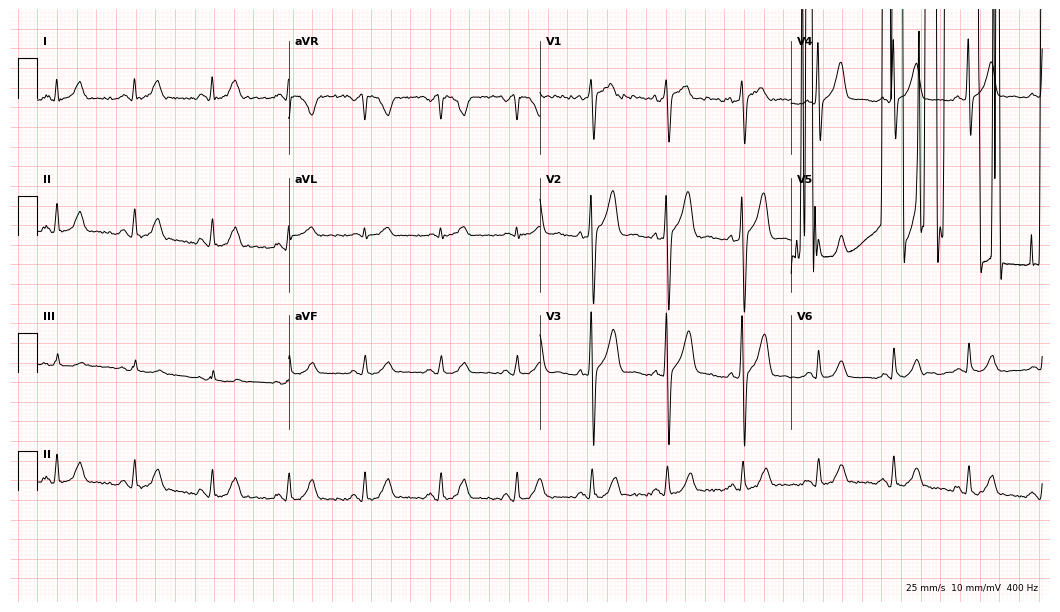
Resting 12-lead electrocardiogram (10.2-second recording at 400 Hz). Patient: a man, 37 years old. None of these six findings is recorded: first-degree AV block, right bundle branch block (RBBB), left bundle branch block (LBBB), sinus bradycardia, atrial fibrillation (AF), sinus tachycardia.